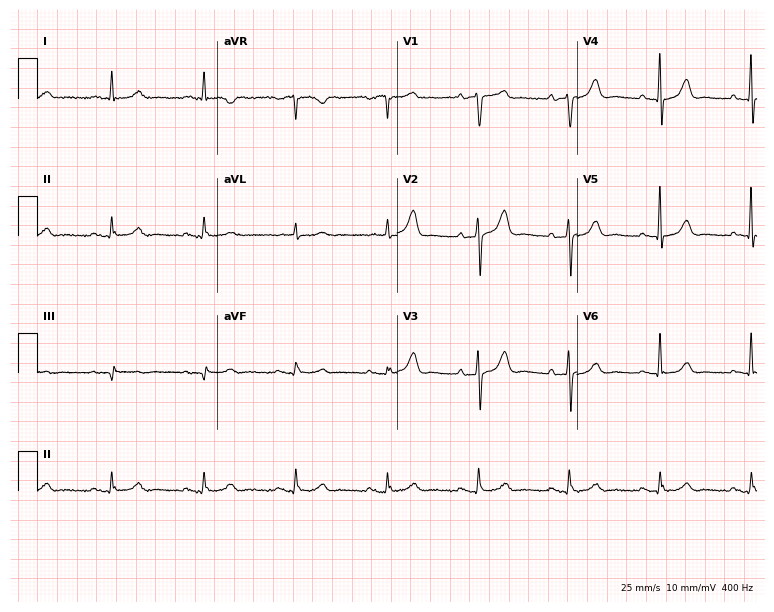
12-lead ECG from a male, 80 years old. Recorded interpretation: within normal limits.